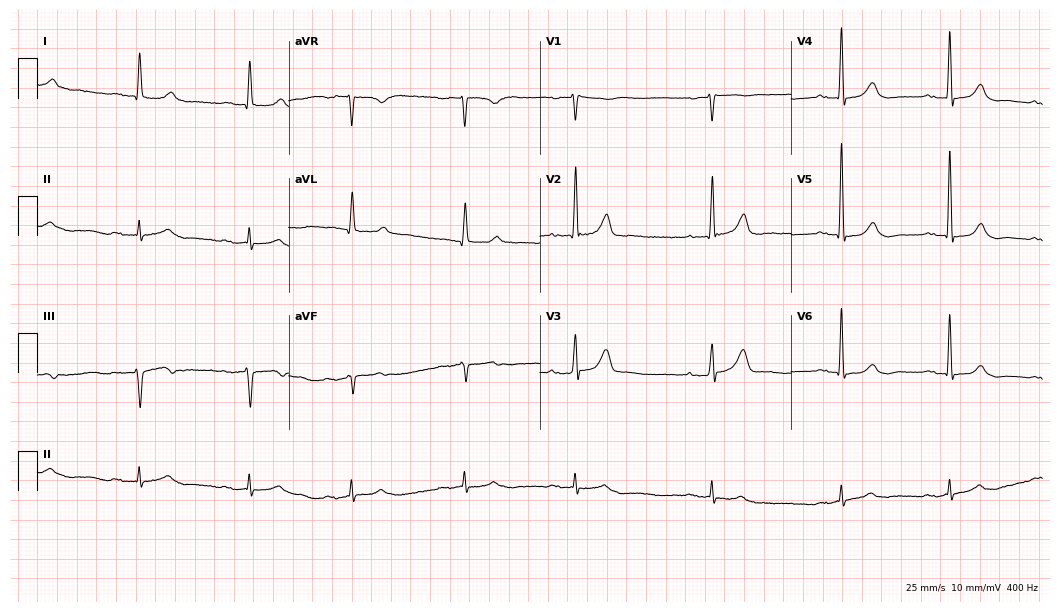
Resting 12-lead electrocardiogram (10.2-second recording at 400 Hz). Patient: a 71-year-old man. None of these six findings is recorded: first-degree AV block, right bundle branch block, left bundle branch block, sinus bradycardia, atrial fibrillation, sinus tachycardia.